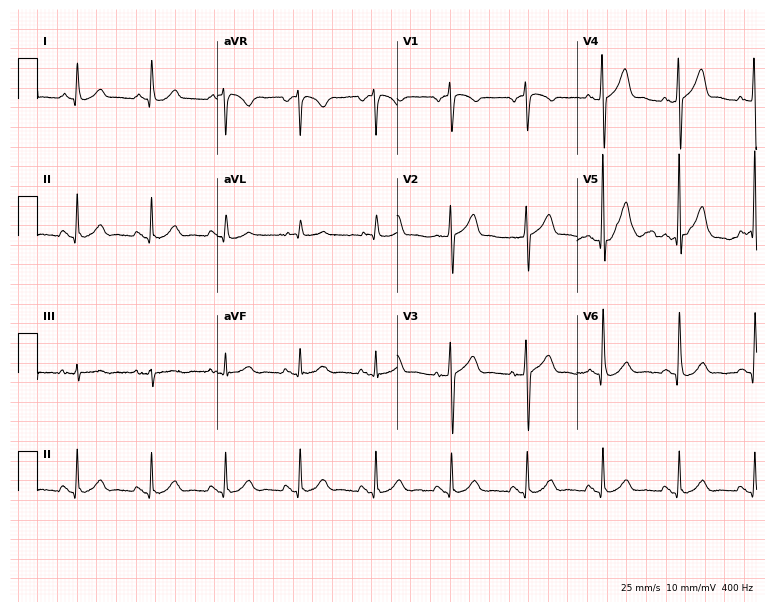
Resting 12-lead electrocardiogram. Patient: a 73-year-old male. Read as a normal ECG.